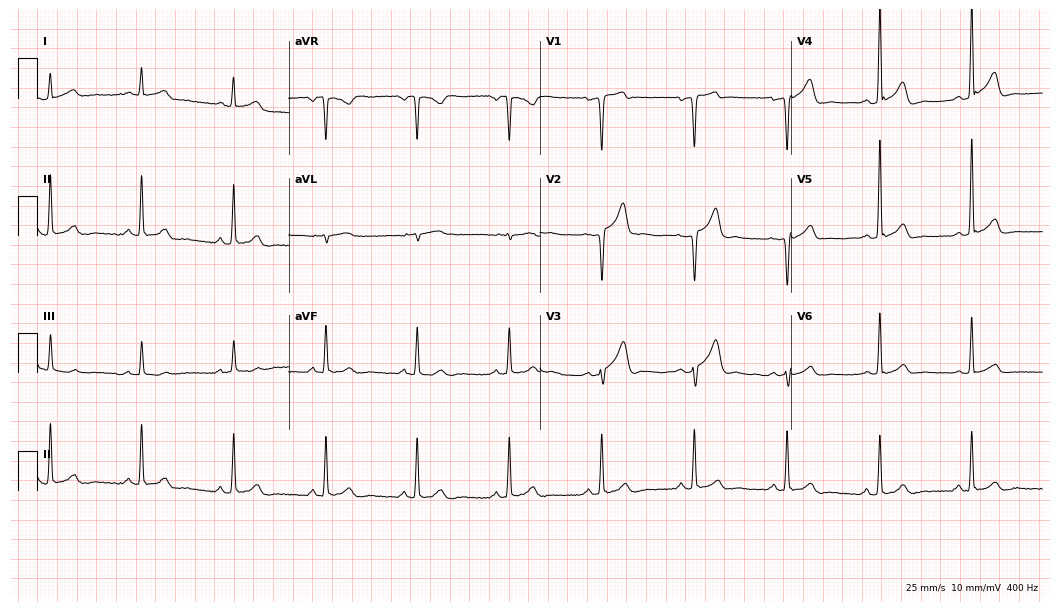
12-lead ECG from a male, 59 years old. Labelled as a normal ECG.